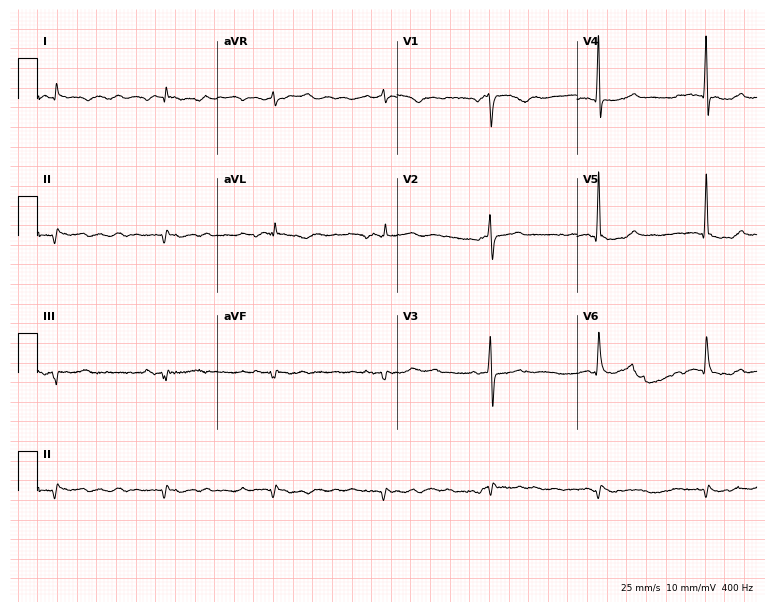
Standard 12-lead ECG recorded from a 78-year-old female patient (7.3-second recording at 400 Hz). None of these six findings is recorded: first-degree AV block, right bundle branch block, left bundle branch block, sinus bradycardia, atrial fibrillation, sinus tachycardia.